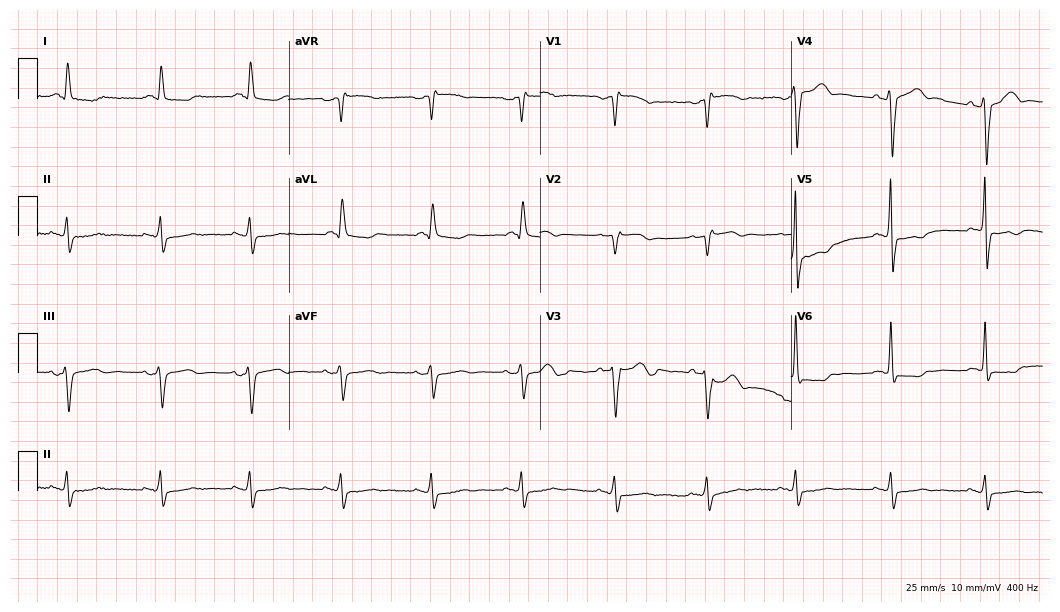
12-lead ECG from a 32-year-old woman (10.2-second recording at 400 Hz). No first-degree AV block, right bundle branch block, left bundle branch block, sinus bradycardia, atrial fibrillation or sinus tachycardia recorded for this tracing.